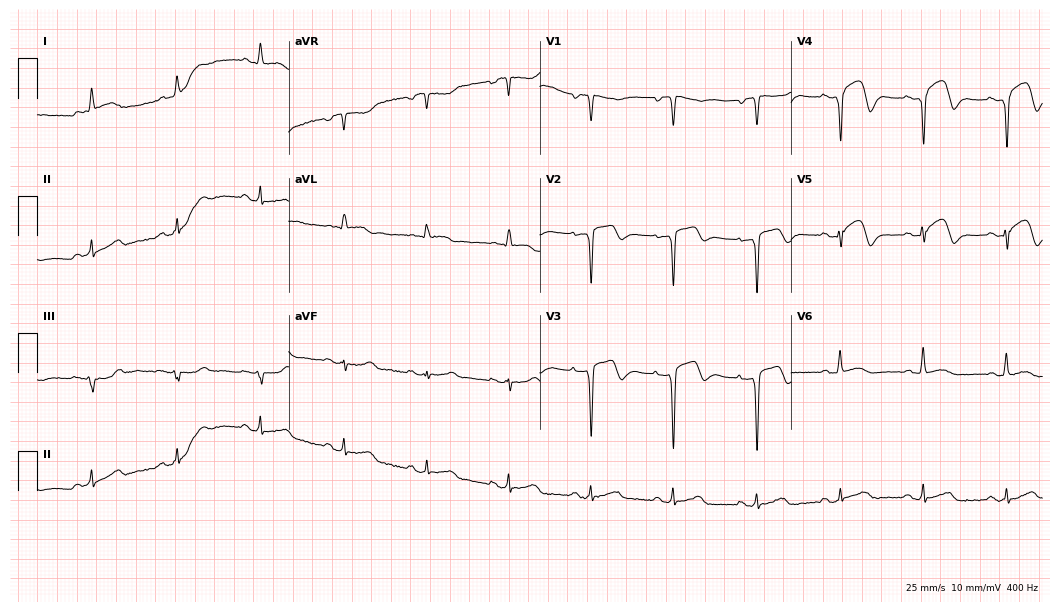
12-lead ECG from a 79-year-old woman (10.2-second recording at 400 Hz). No first-degree AV block, right bundle branch block, left bundle branch block, sinus bradycardia, atrial fibrillation or sinus tachycardia recorded for this tracing. Only these six findings were labelled.